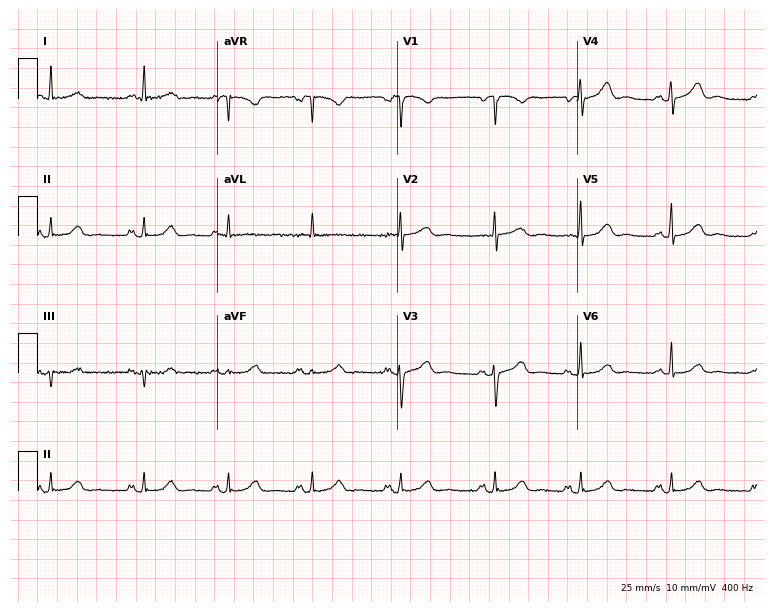
12-lead ECG (7.3-second recording at 400 Hz) from a 79-year-old woman. Labelled as a normal ECG.